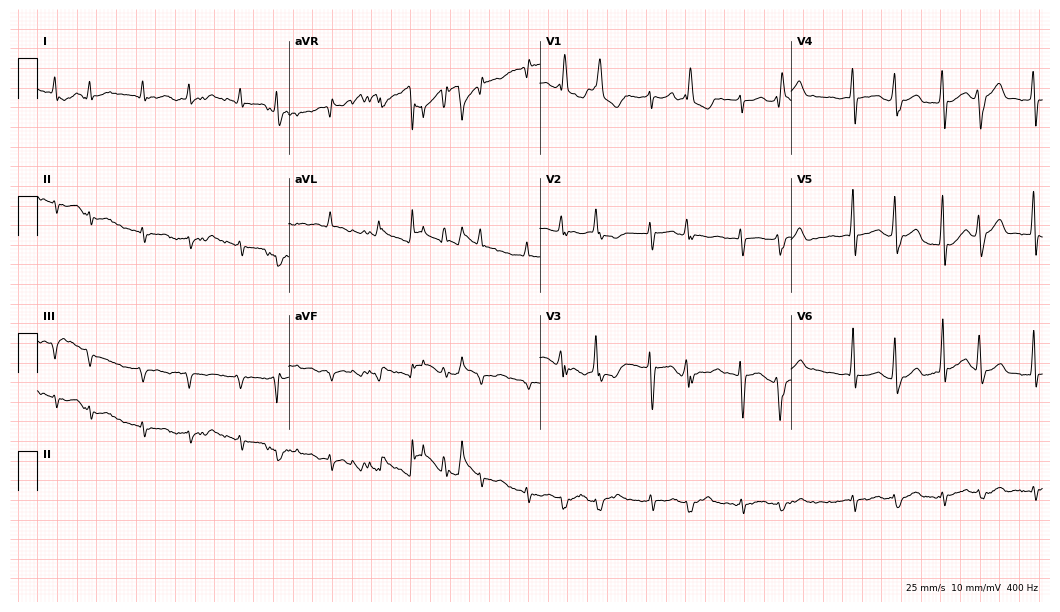
Standard 12-lead ECG recorded from a 73-year-old male. The tracing shows atrial fibrillation, sinus tachycardia (a sinus rate of 100 beats per minute or more).